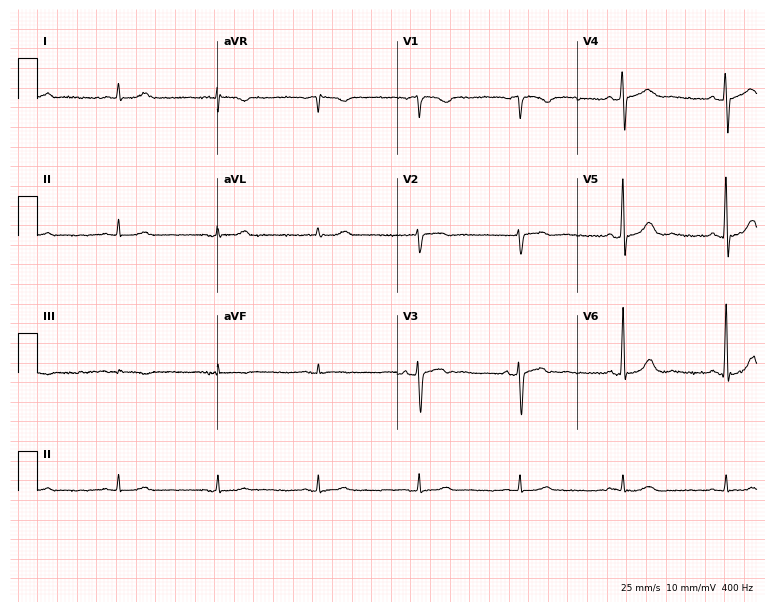
Standard 12-lead ECG recorded from a male patient, 71 years old (7.3-second recording at 400 Hz). None of these six findings is recorded: first-degree AV block, right bundle branch block (RBBB), left bundle branch block (LBBB), sinus bradycardia, atrial fibrillation (AF), sinus tachycardia.